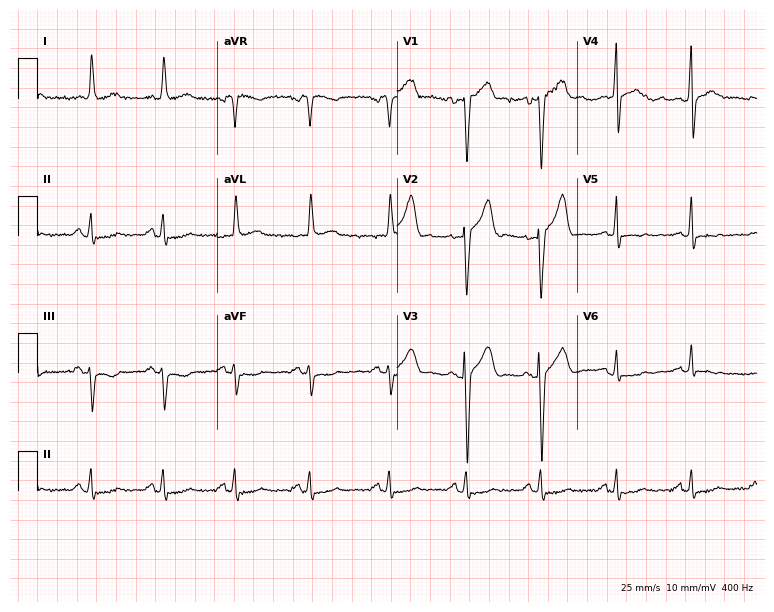
Resting 12-lead electrocardiogram. Patient: a 76-year-old man. None of these six findings is recorded: first-degree AV block, right bundle branch block, left bundle branch block, sinus bradycardia, atrial fibrillation, sinus tachycardia. Only these six findings were labelled.